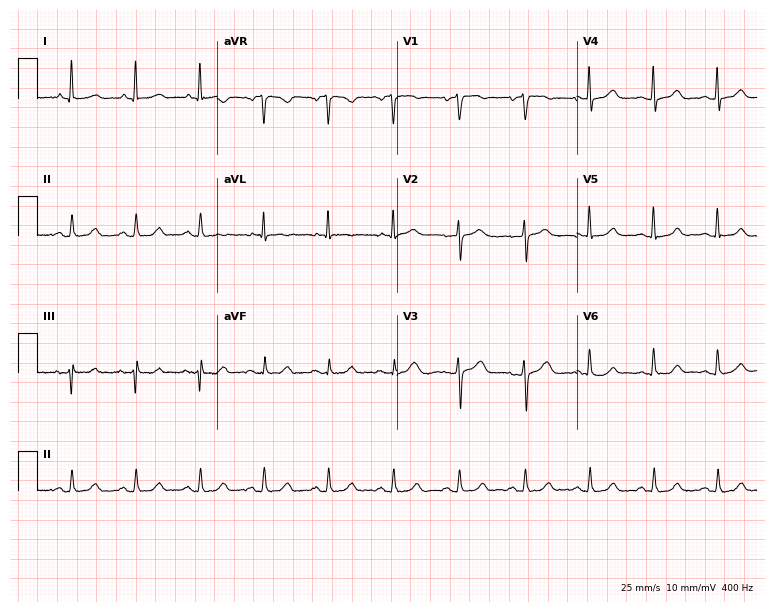
ECG (7.3-second recording at 400 Hz) — a 58-year-old woman. Labelled as a normal ECG.